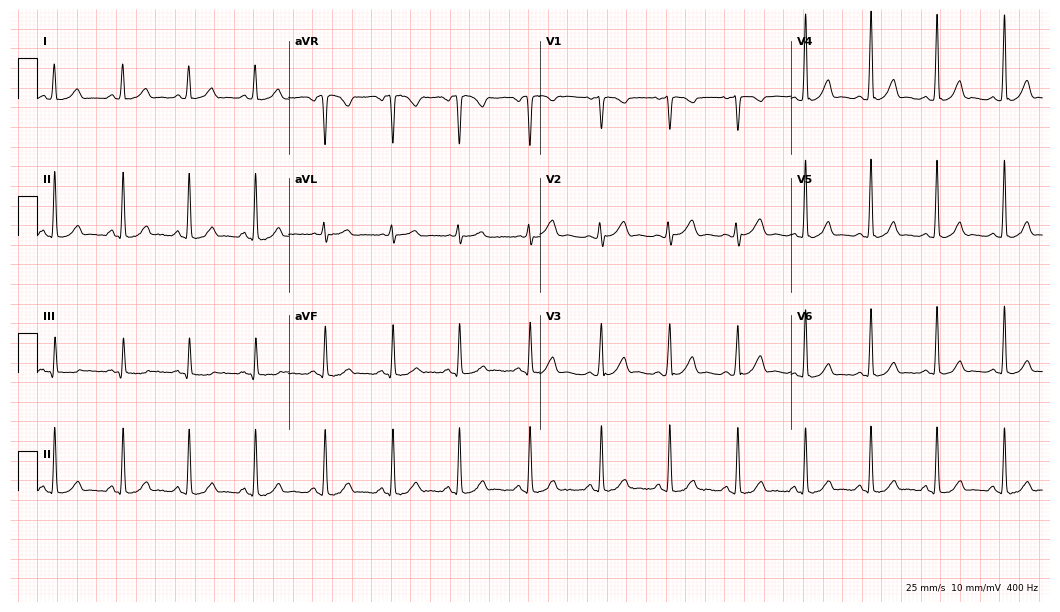
12-lead ECG from a woman, 33 years old. Labelled as a normal ECG.